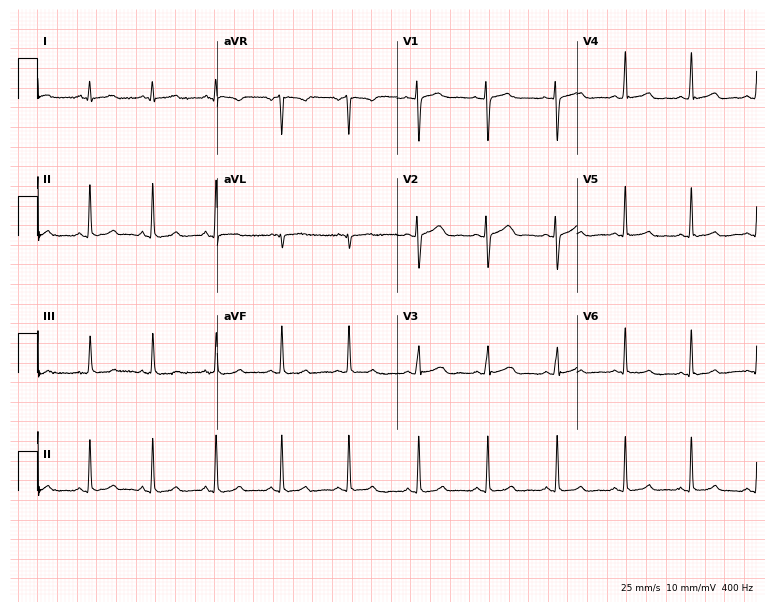
12-lead ECG from a woman, 26 years old. Labelled as a normal ECG.